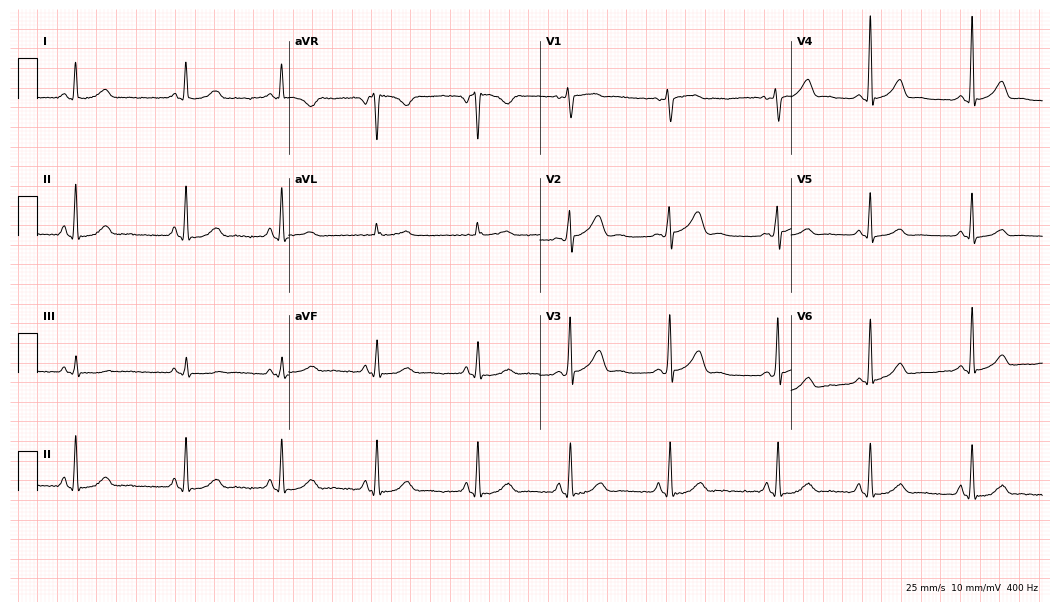
12-lead ECG from a female patient, 31 years old. Recorded interpretation: within normal limits.